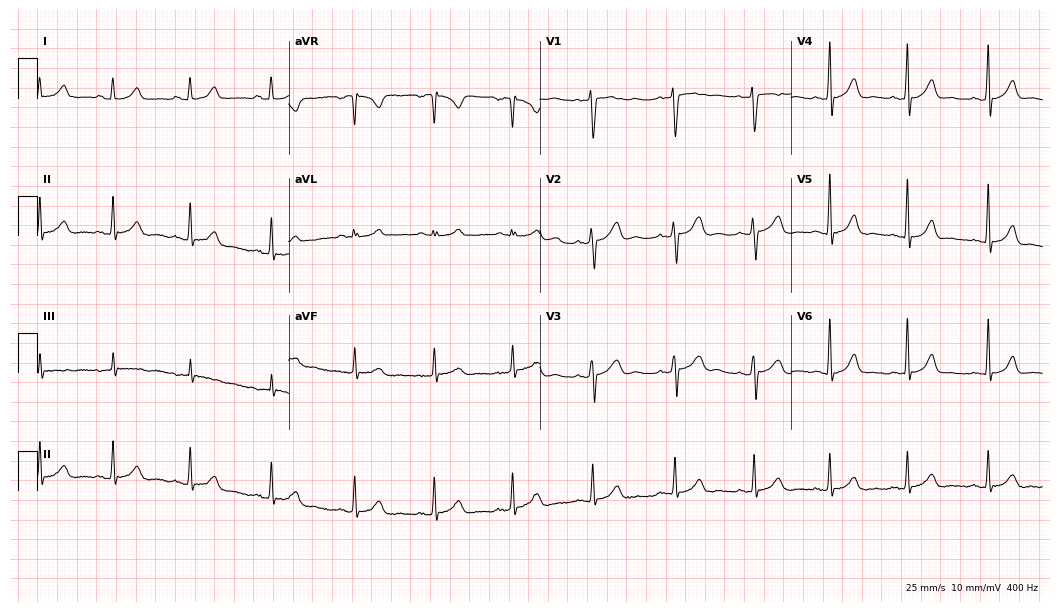
Resting 12-lead electrocardiogram (10.2-second recording at 400 Hz). Patient: a 24-year-old female. Read as a normal ECG.